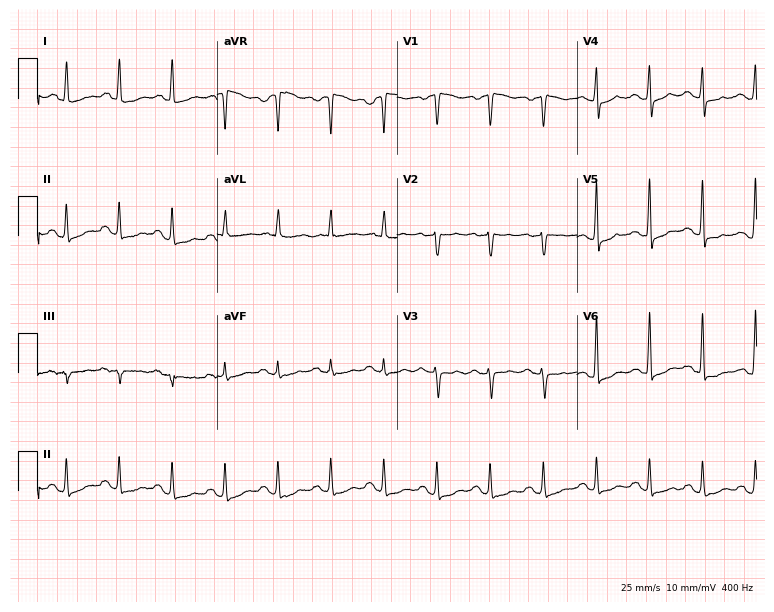
Resting 12-lead electrocardiogram (7.3-second recording at 400 Hz). Patient: a 58-year-old female. The tracing shows sinus tachycardia (a sinus rate of 100 beats per minute or more).